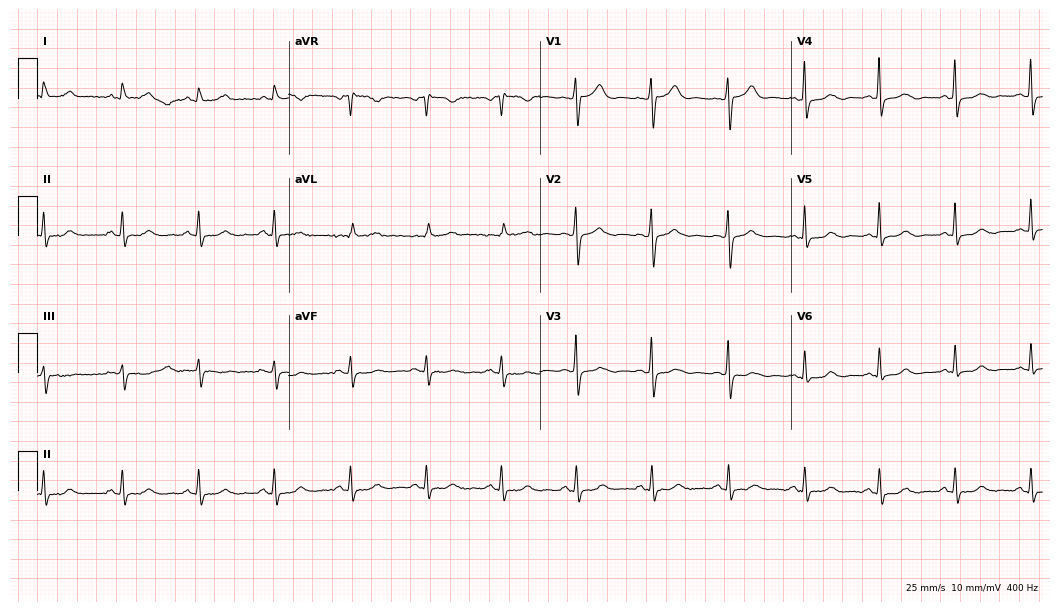
12-lead ECG from a 62-year-old woman. Labelled as a normal ECG.